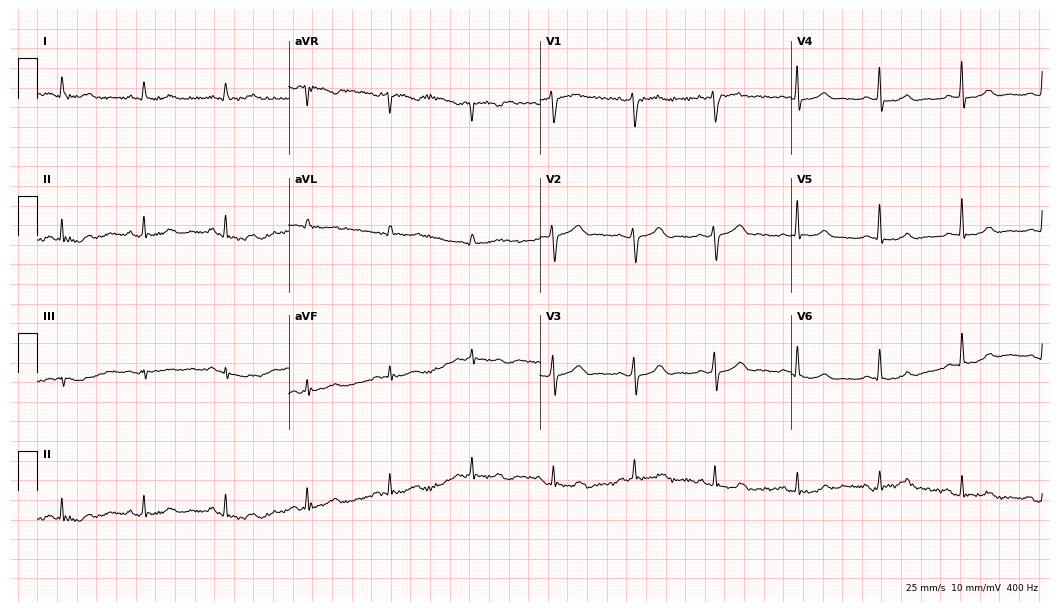
12-lead ECG (10.2-second recording at 400 Hz) from a 57-year-old woman. Labelled as a normal ECG.